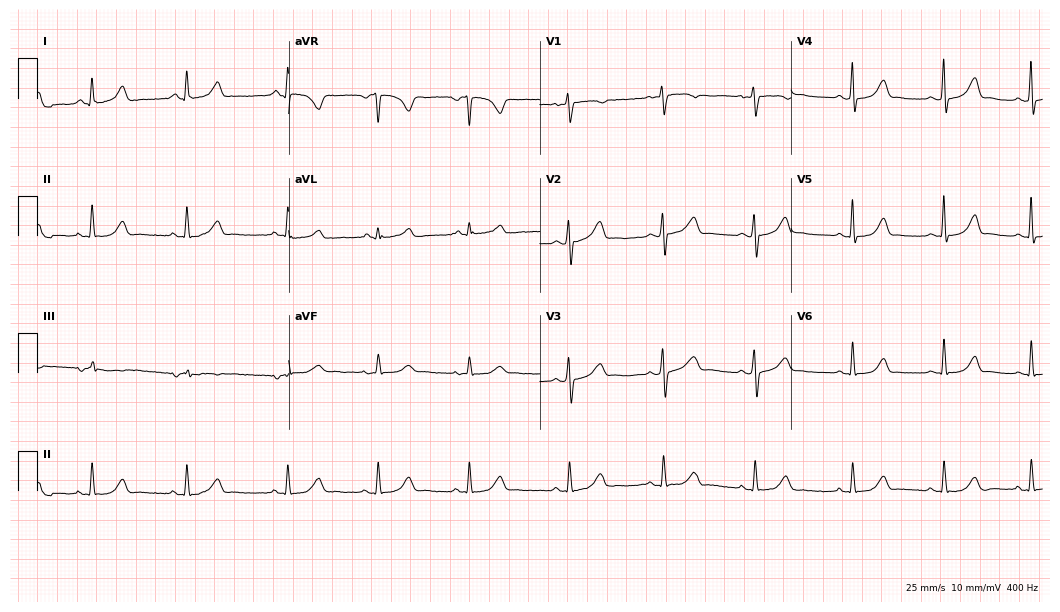
ECG (10.2-second recording at 400 Hz) — a 38-year-old woman. Labelled as a normal ECG.